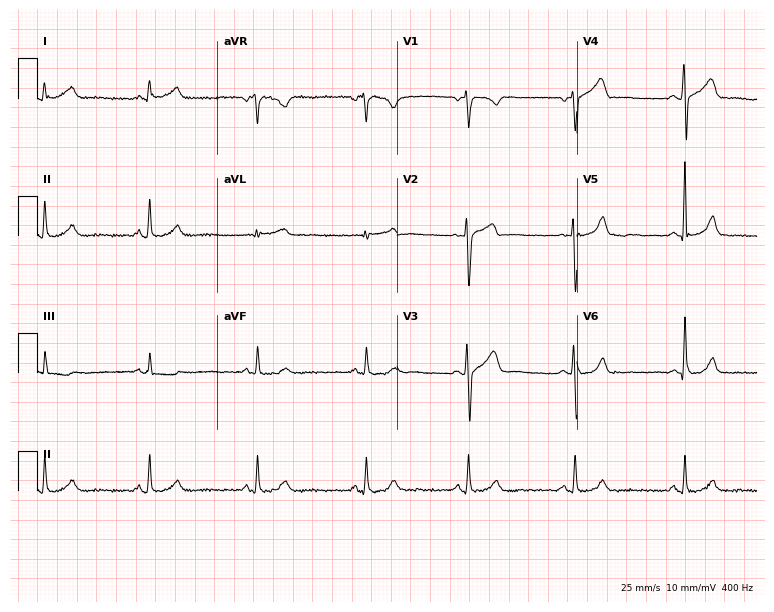
Resting 12-lead electrocardiogram (7.3-second recording at 400 Hz). Patient: a 41-year-old man. None of these six findings is recorded: first-degree AV block, right bundle branch block, left bundle branch block, sinus bradycardia, atrial fibrillation, sinus tachycardia.